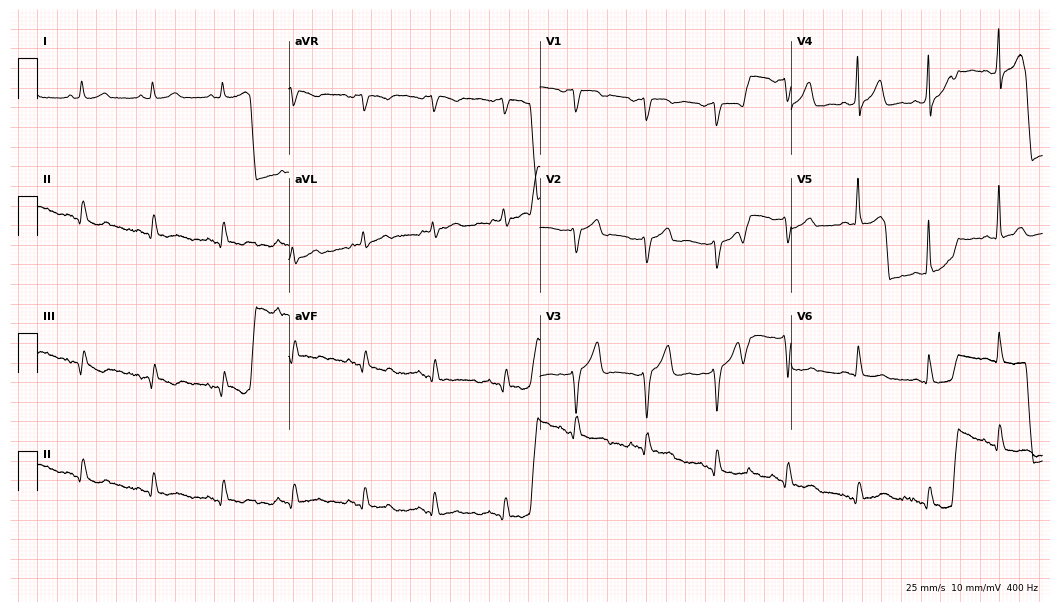
Resting 12-lead electrocardiogram (10.2-second recording at 400 Hz). Patient: a 78-year-old woman. None of these six findings is recorded: first-degree AV block, right bundle branch block, left bundle branch block, sinus bradycardia, atrial fibrillation, sinus tachycardia. Findings outside these six are not listed.